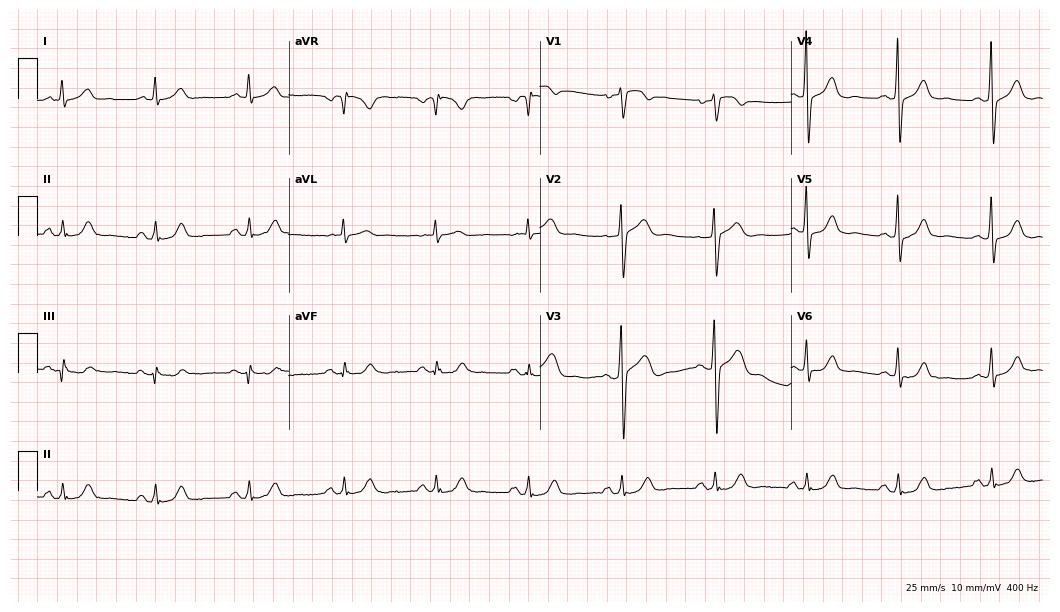
12-lead ECG from a man, 55 years old (10.2-second recording at 400 Hz). No first-degree AV block, right bundle branch block, left bundle branch block, sinus bradycardia, atrial fibrillation or sinus tachycardia recorded for this tracing. Only these six findings were labelled.